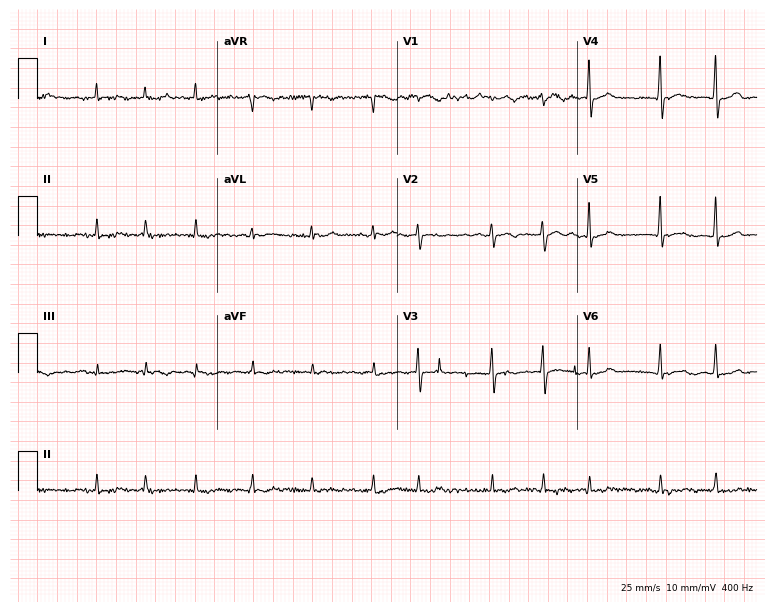
12-lead ECG (7.3-second recording at 400 Hz) from a 77-year-old woman. Screened for six findings — first-degree AV block, right bundle branch block, left bundle branch block, sinus bradycardia, atrial fibrillation, sinus tachycardia — none is recorded. Other findings, if any, are not listed.